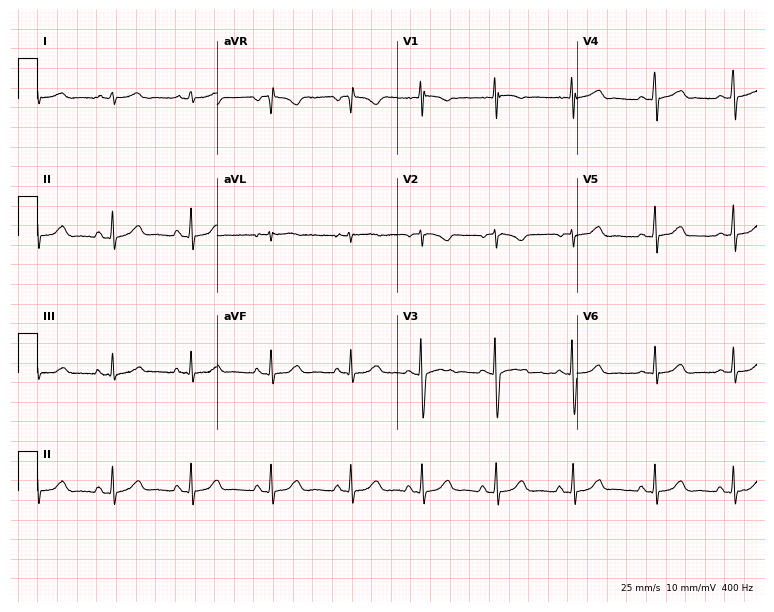
Resting 12-lead electrocardiogram (7.3-second recording at 400 Hz). Patient: a 27-year-old woman. None of these six findings is recorded: first-degree AV block, right bundle branch block, left bundle branch block, sinus bradycardia, atrial fibrillation, sinus tachycardia. Findings outside these six are not listed.